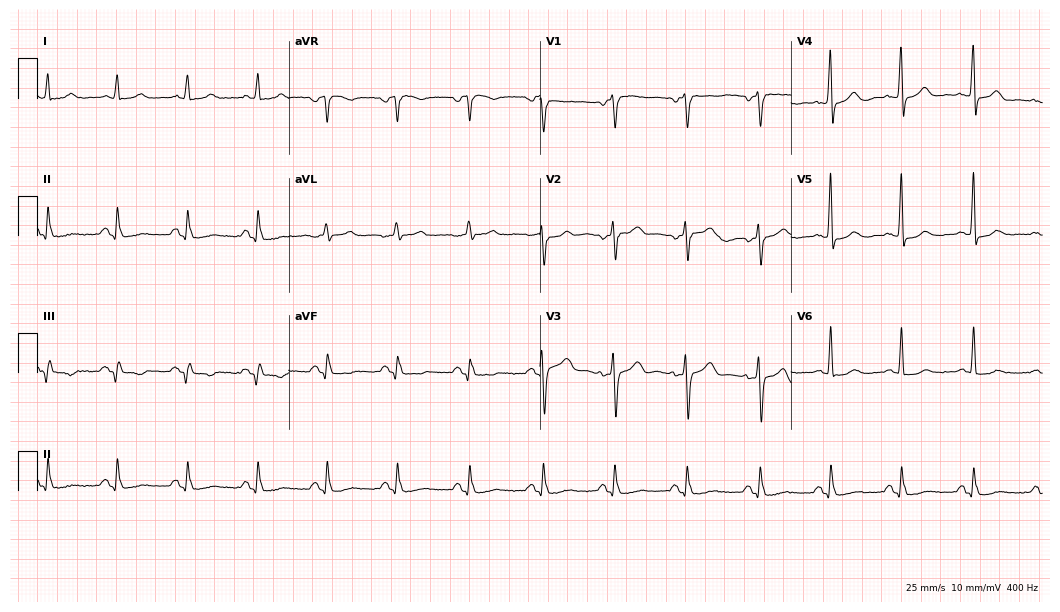
Resting 12-lead electrocardiogram. Patient: a 63-year-old male. Read as a normal ECG.